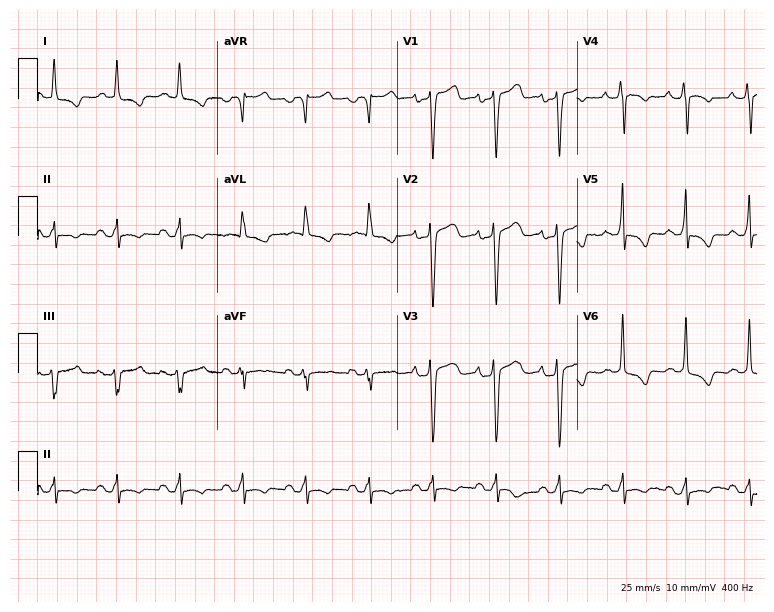
Electrocardiogram (7.3-second recording at 400 Hz), a male, 49 years old. Of the six screened findings (first-degree AV block, right bundle branch block, left bundle branch block, sinus bradycardia, atrial fibrillation, sinus tachycardia), none is recorded. Other findings, if any, are not listed.